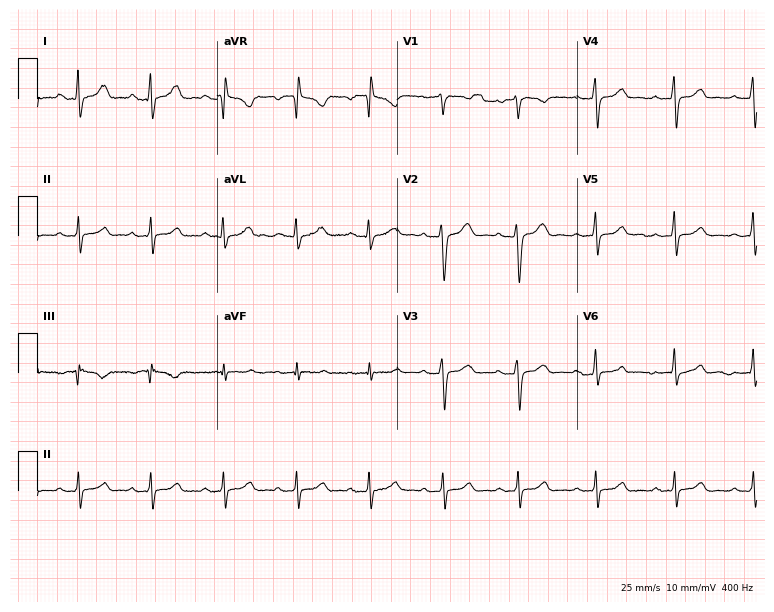
Standard 12-lead ECG recorded from a 29-year-old man (7.3-second recording at 400 Hz). Read as a normal ECG.